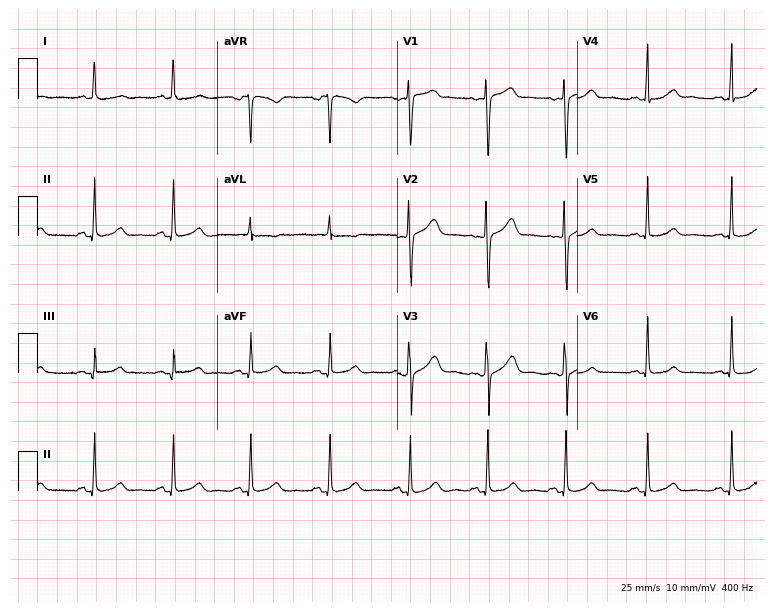
12-lead ECG from a woman, 48 years old (7.3-second recording at 400 Hz). No first-degree AV block, right bundle branch block, left bundle branch block, sinus bradycardia, atrial fibrillation or sinus tachycardia recorded for this tracing.